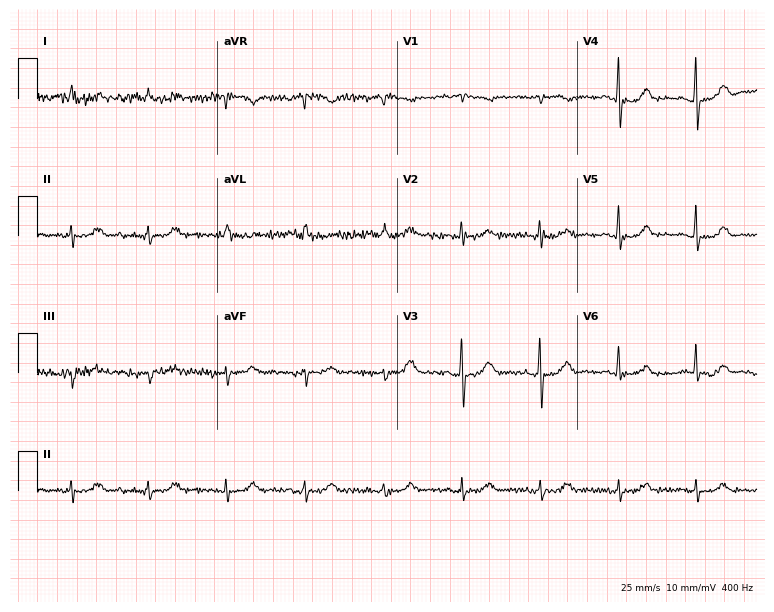
12-lead ECG from a woman, 66 years old. Screened for six findings — first-degree AV block, right bundle branch block (RBBB), left bundle branch block (LBBB), sinus bradycardia, atrial fibrillation (AF), sinus tachycardia — none is recorded. Other findings, if any, are not listed.